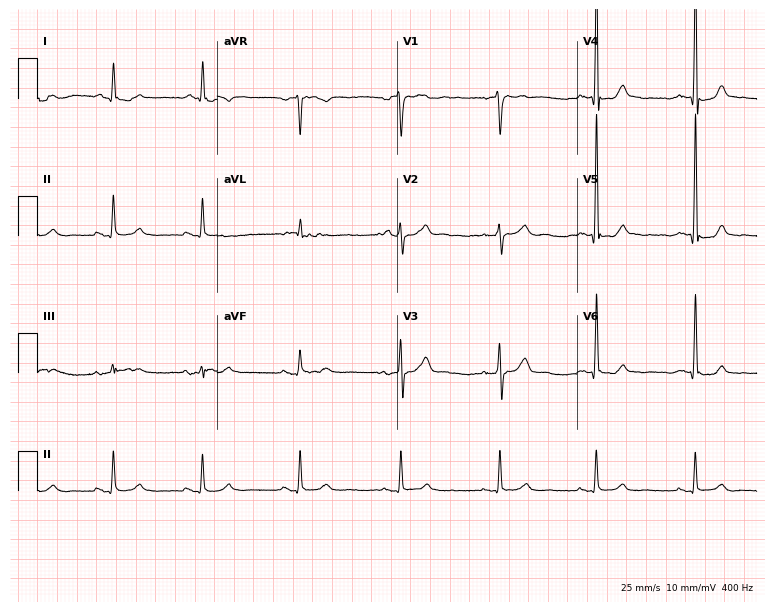
Electrocardiogram, a 55-year-old male. Of the six screened findings (first-degree AV block, right bundle branch block, left bundle branch block, sinus bradycardia, atrial fibrillation, sinus tachycardia), none is recorded. Other findings, if any, are not listed.